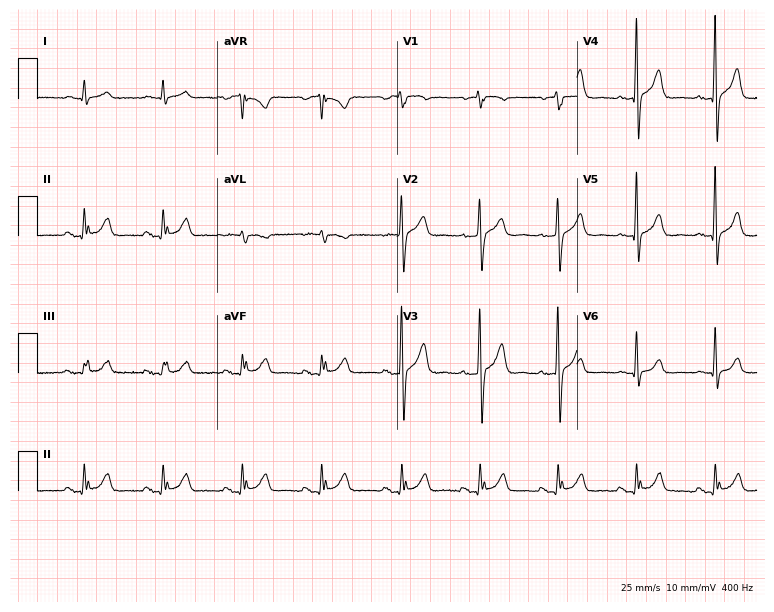
12-lead ECG (7.3-second recording at 400 Hz) from a man, 71 years old. Screened for six findings — first-degree AV block, right bundle branch block (RBBB), left bundle branch block (LBBB), sinus bradycardia, atrial fibrillation (AF), sinus tachycardia — none is recorded. Findings outside these six are not listed.